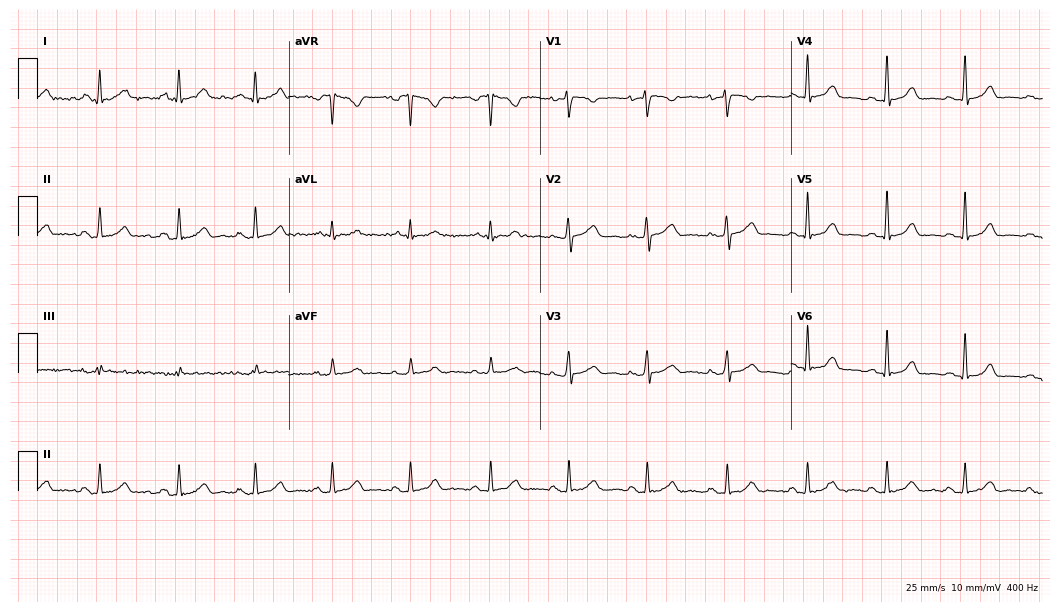
ECG (10.2-second recording at 400 Hz) — a 36-year-old female. Labelled as a normal ECG.